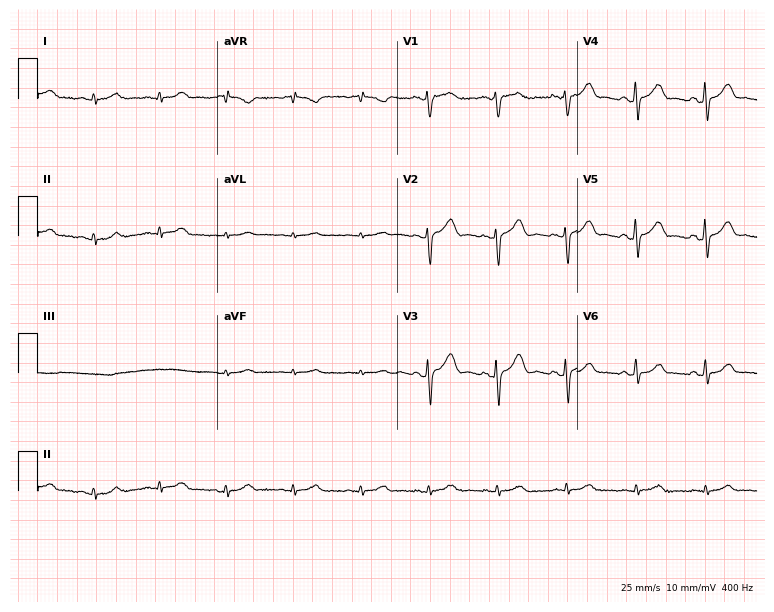
Resting 12-lead electrocardiogram (7.3-second recording at 400 Hz). Patient: a 68-year-old male. None of these six findings is recorded: first-degree AV block, right bundle branch block (RBBB), left bundle branch block (LBBB), sinus bradycardia, atrial fibrillation (AF), sinus tachycardia. Other findings, if any, are not listed.